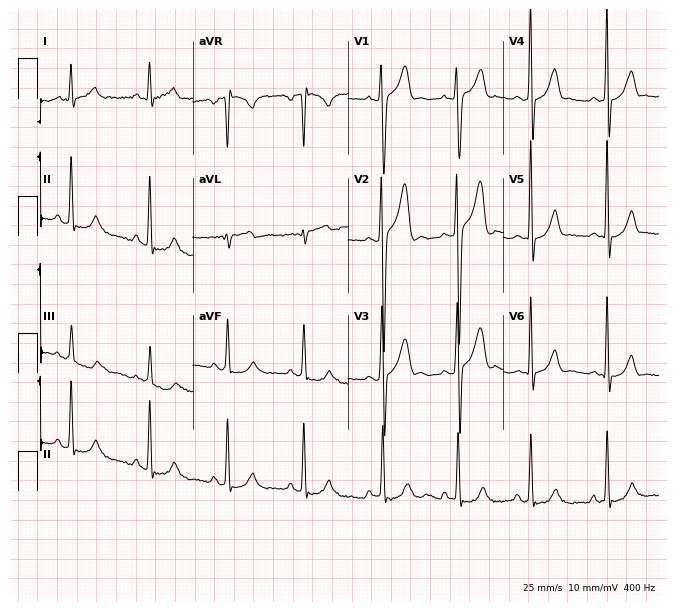
Resting 12-lead electrocardiogram. Patient: a male, 17 years old. None of these six findings is recorded: first-degree AV block, right bundle branch block (RBBB), left bundle branch block (LBBB), sinus bradycardia, atrial fibrillation (AF), sinus tachycardia.